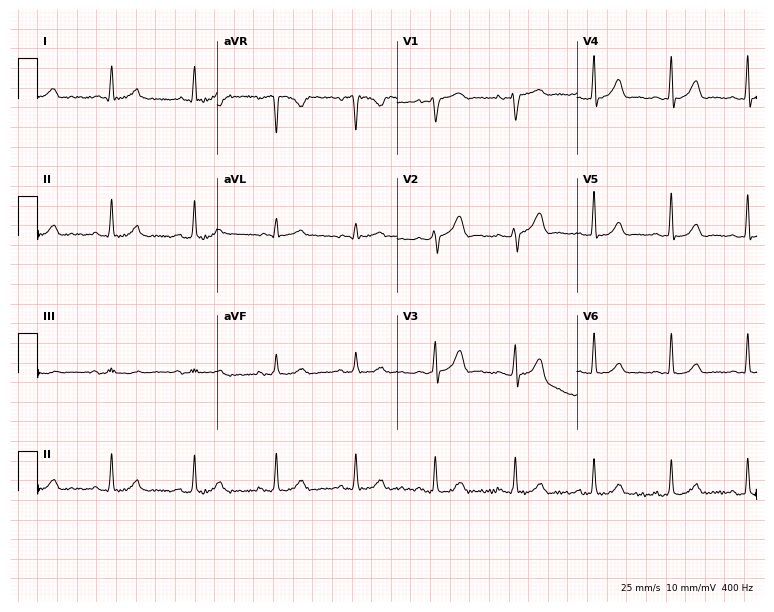
Standard 12-lead ECG recorded from a 48-year-old woman (7.3-second recording at 400 Hz). None of these six findings is recorded: first-degree AV block, right bundle branch block, left bundle branch block, sinus bradycardia, atrial fibrillation, sinus tachycardia. Only these six findings were labelled.